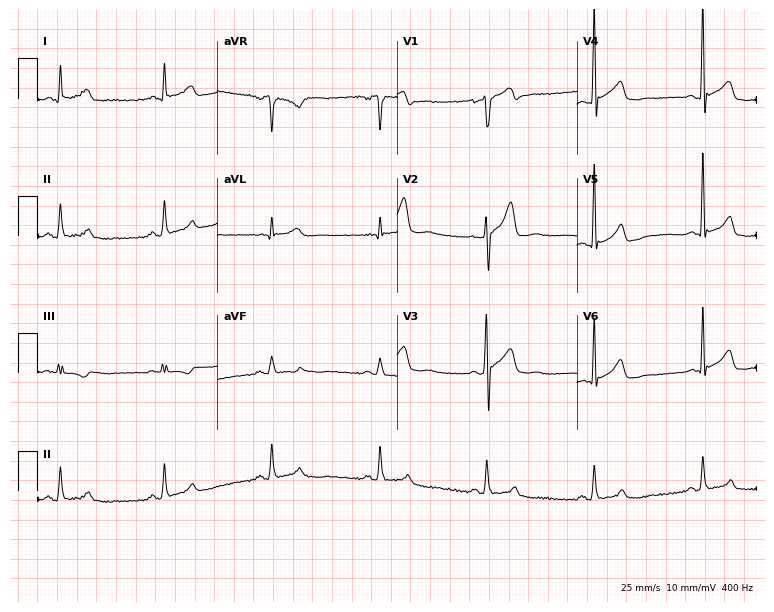
Resting 12-lead electrocardiogram. Patient: a man, 36 years old. None of these six findings is recorded: first-degree AV block, right bundle branch block (RBBB), left bundle branch block (LBBB), sinus bradycardia, atrial fibrillation (AF), sinus tachycardia.